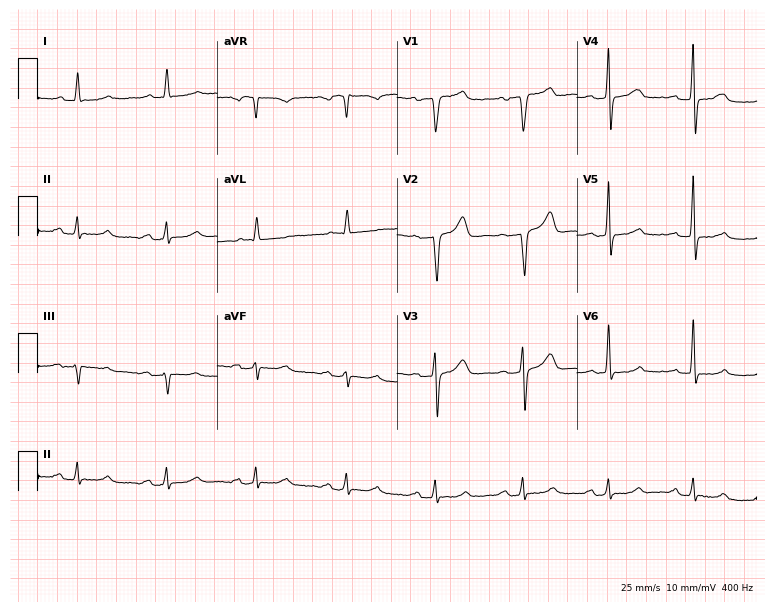
Standard 12-lead ECG recorded from an 83-year-old male patient. None of these six findings is recorded: first-degree AV block, right bundle branch block (RBBB), left bundle branch block (LBBB), sinus bradycardia, atrial fibrillation (AF), sinus tachycardia. Findings outside these six are not listed.